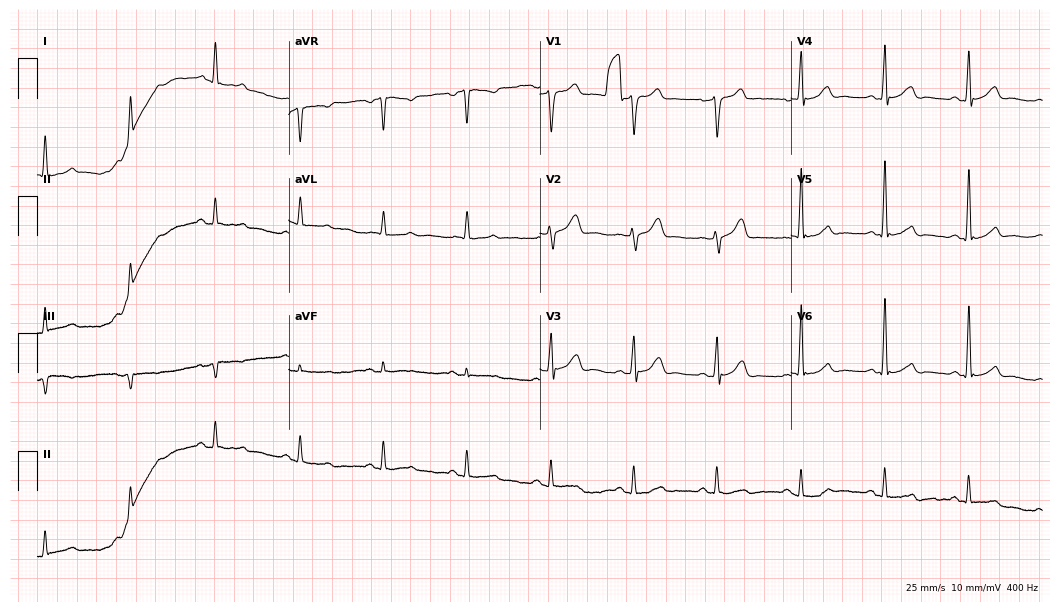
Standard 12-lead ECG recorded from a 72-year-old male. None of these six findings is recorded: first-degree AV block, right bundle branch block, left bundle branch block, sinus bradycardia, atrial fibrillation, sinus tachycardia. Other findings, if any, are not listed.